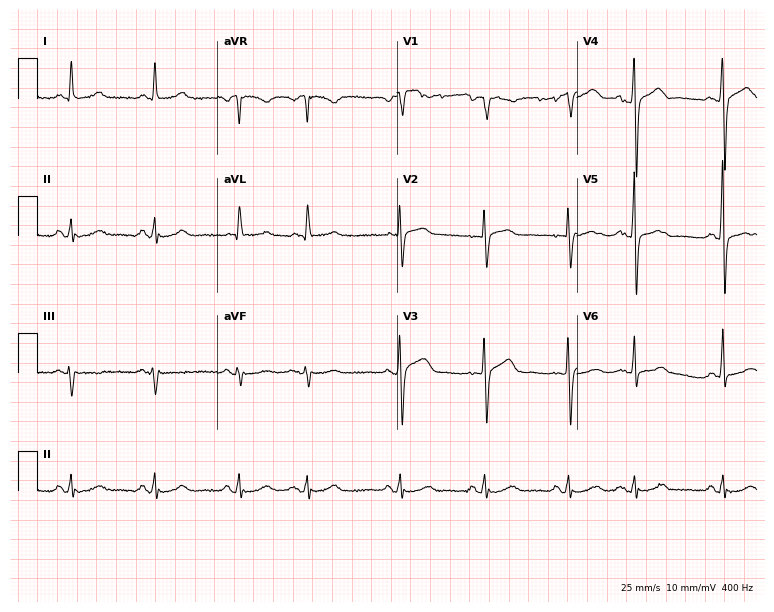
12-lead ECG from a male, 75 years old. Labelled as a normal ECG.